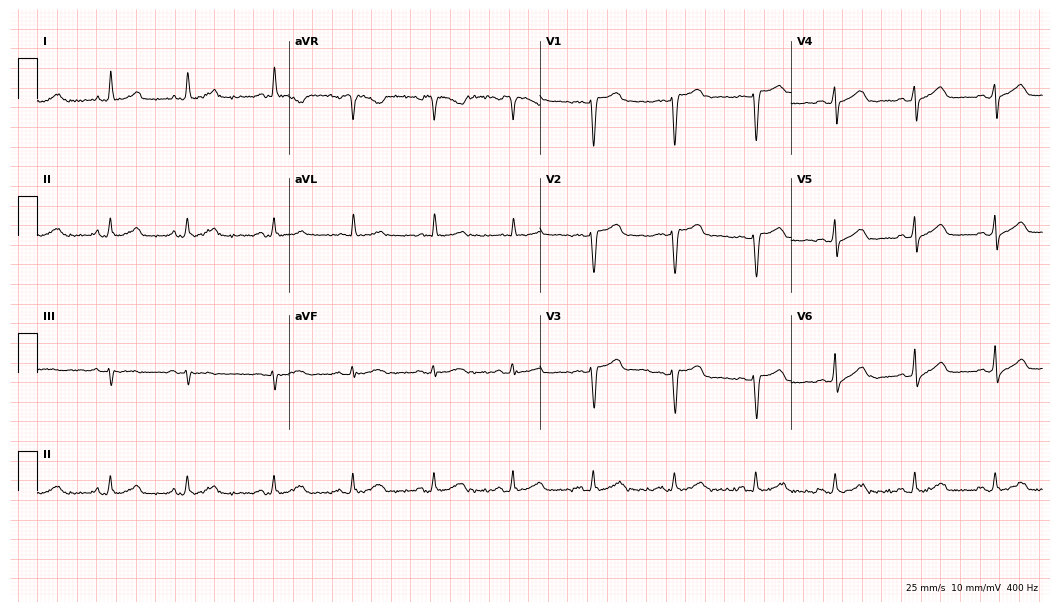
12-lead ECG (10.2-second recording at 400 Hz) from a 48-year-old woman. Labelled as a normal ECG.